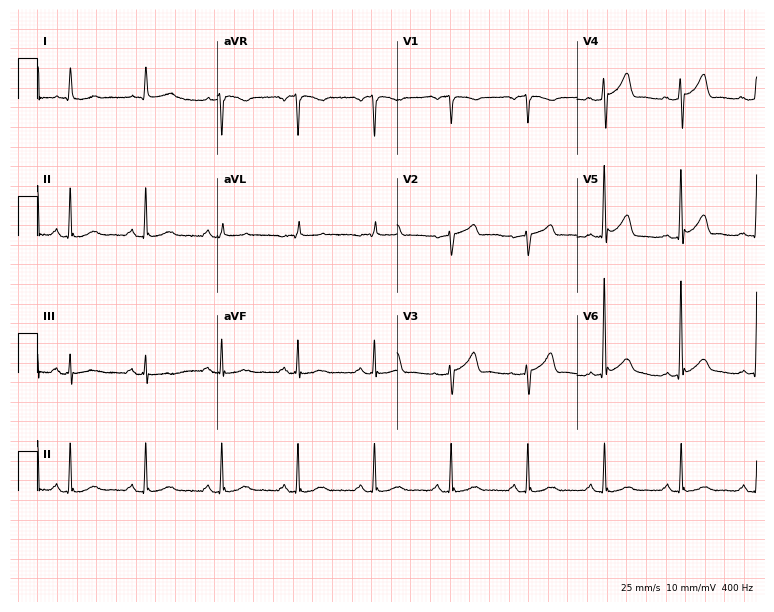
Standard 12-lead ECG recorded from a male, 77 years old. None of these six findings is recorded: first-degree AV block, right bundle branch block, left bundle branch block, sinus bradycardia, atrial fibrillation, sinus tachycardia. Findings outside these six are not listed.